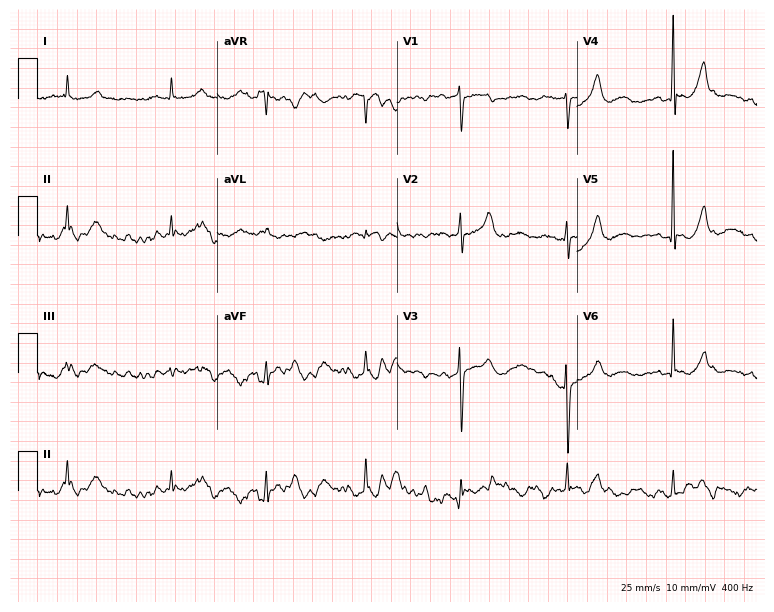
12-lead ECG (7.3-second recording at 400 Hz) from a woman, 83 years old. Screened for six findings — first-degree AV block, right bundle branch block, left bundle branch block, sinus bradycardia, atrial fibrillation, sinus tachycardia — none is recorded.